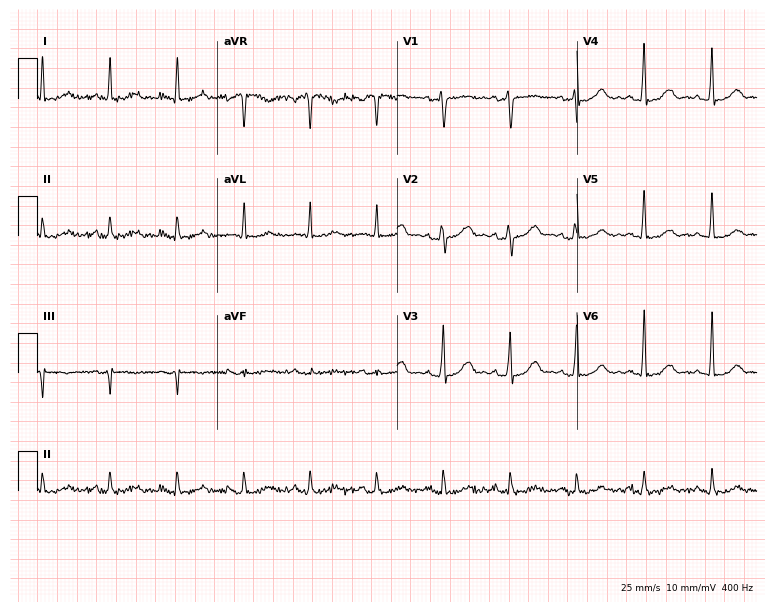
ECG — a woman, 53 years old. Screened for six findings — first-degree AV block, right bundle branch block (RBBB), left bundle branch block (LBBB), sinus bradycardia, atrial fibrillation (AF), sinus tachycardia — none is recorded.